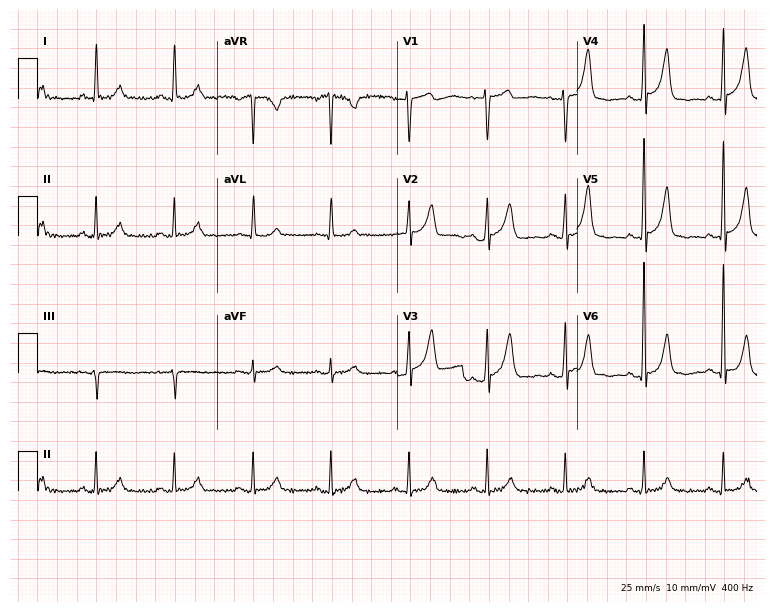
12-lead ECG from a 79-year-old woman (7.3-second recording at 400 Hz). No first-degree AV block, right bundle branch block (RBBB), left bundle branch block (LBBB), sinus bradycardia, atrial fibrillation (AF) or sinus tachycardia recorded for this tracing.